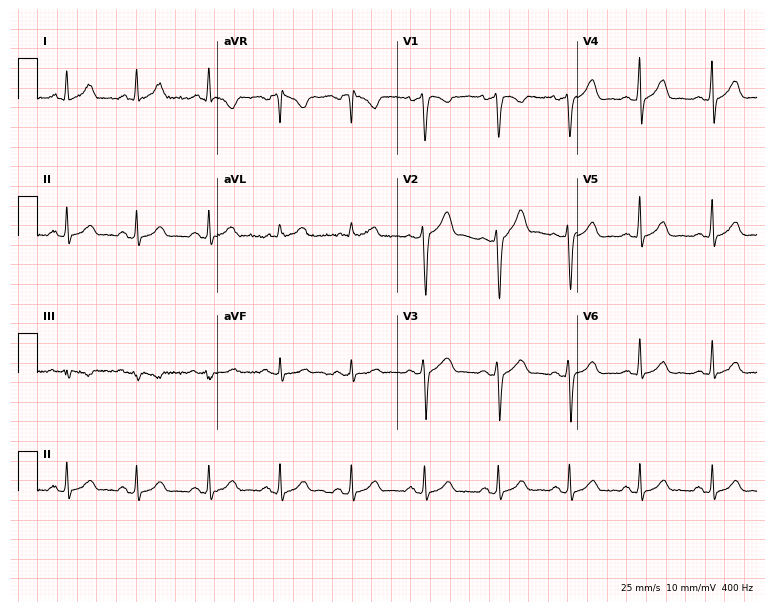
12-lead ECG from a 35-year-old man. Recorded interpretation: within normal limits.